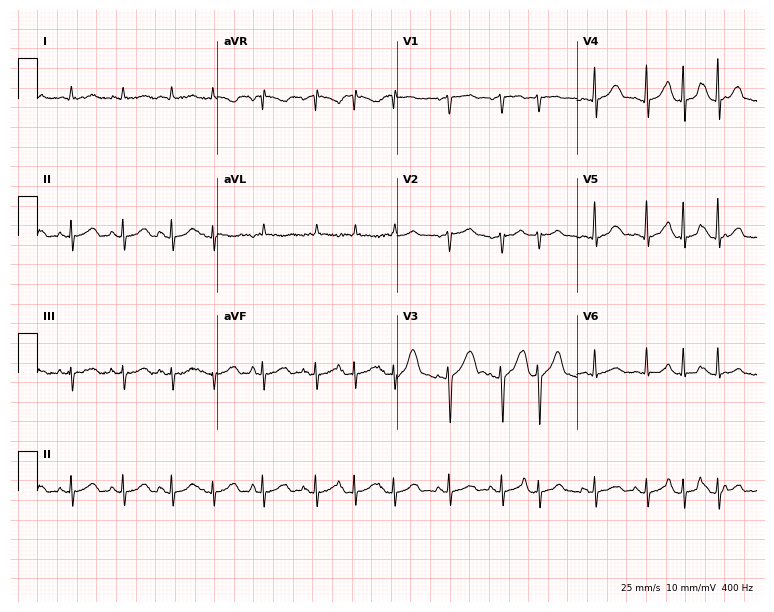
ECG (7.3-second recording at 400 Hz) — an 83-year-old female. Findings include sinus tachycardia (a sinus rate of 100 beats per minute or more).